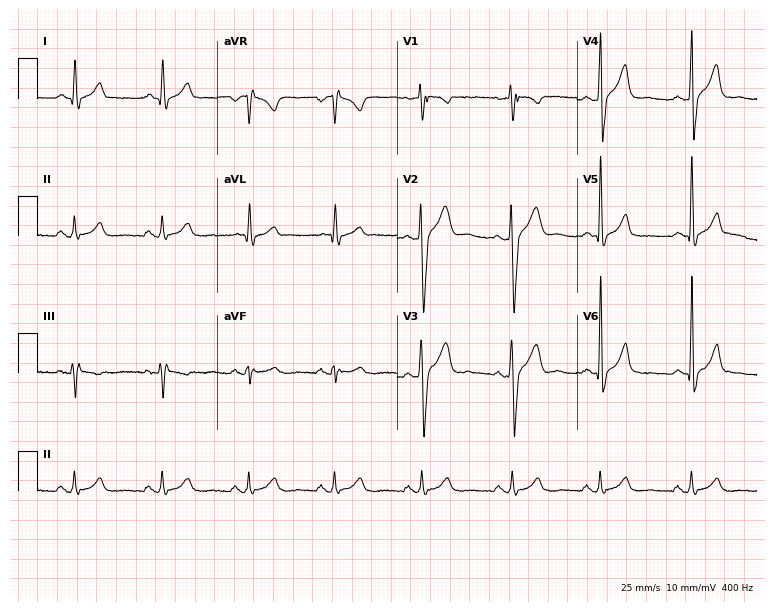
Resting 12-lead electrocardiogram. Patient: a male, 49 years old. None of these six findings is recorded: first-degree AV block, right bundle branch block (RBBB), left bundle branch block (LBBB), sinus bradycardia, atrial fibrillation (AF), sinus tachycardia.